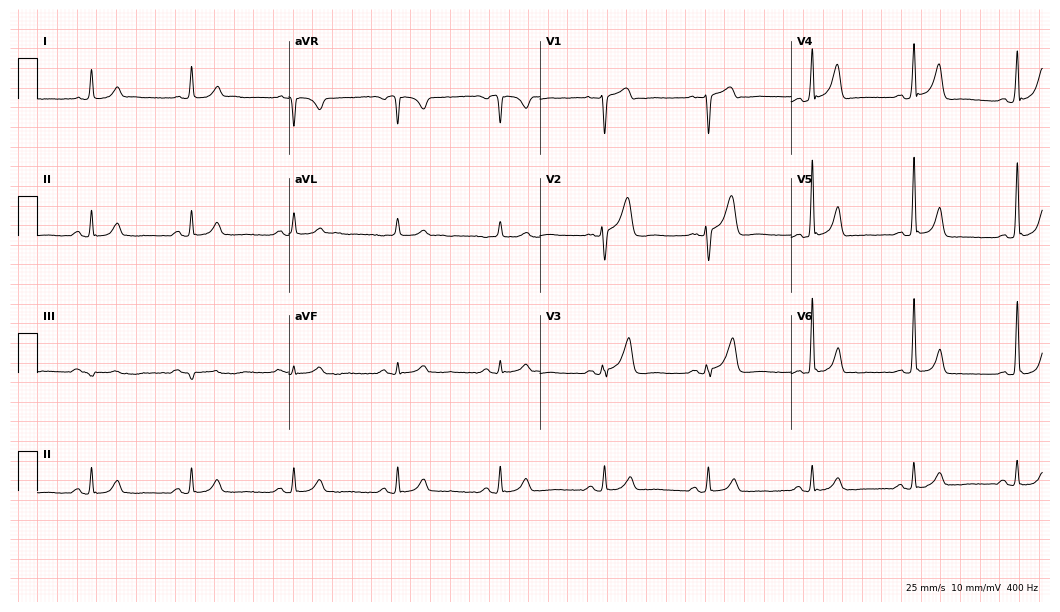
Electrocardiogram (10.2-second recording at 400 Hz), a 69-year-old male. Of the six screened findings (first-degree AV block, right bundle branch block, left bundle branch block, sinus bradycardia, atrial fibrillation, sinus tachycardia), none is recorded. Findings outside these six are not listed.